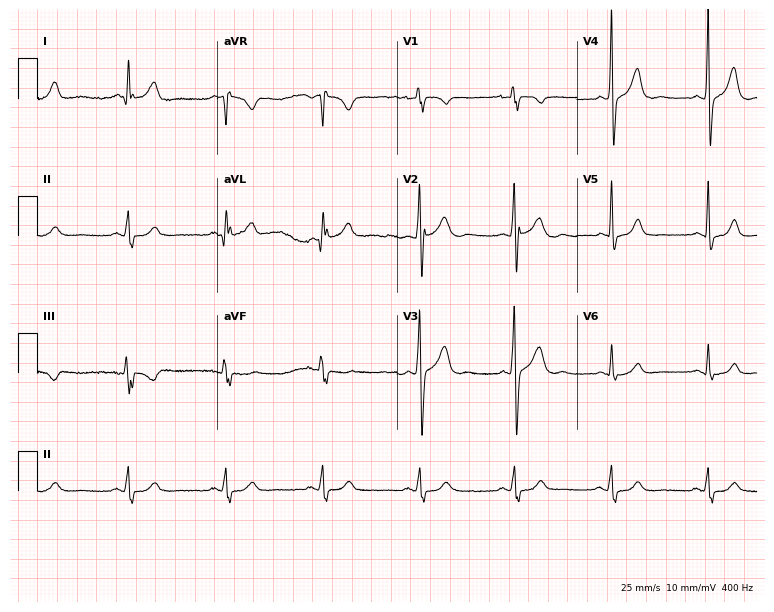
Standard 12-lead ECG recorded from a 26-year-old male patient (7.3-second recording at 400 Hz). None of these six findings is recorded: first-degree AV block, right bundle branch block (RBBB), left bundle branch block (LBBB), sinus bradycardia, atrial fibrillation (AF), sinus tachycardia.